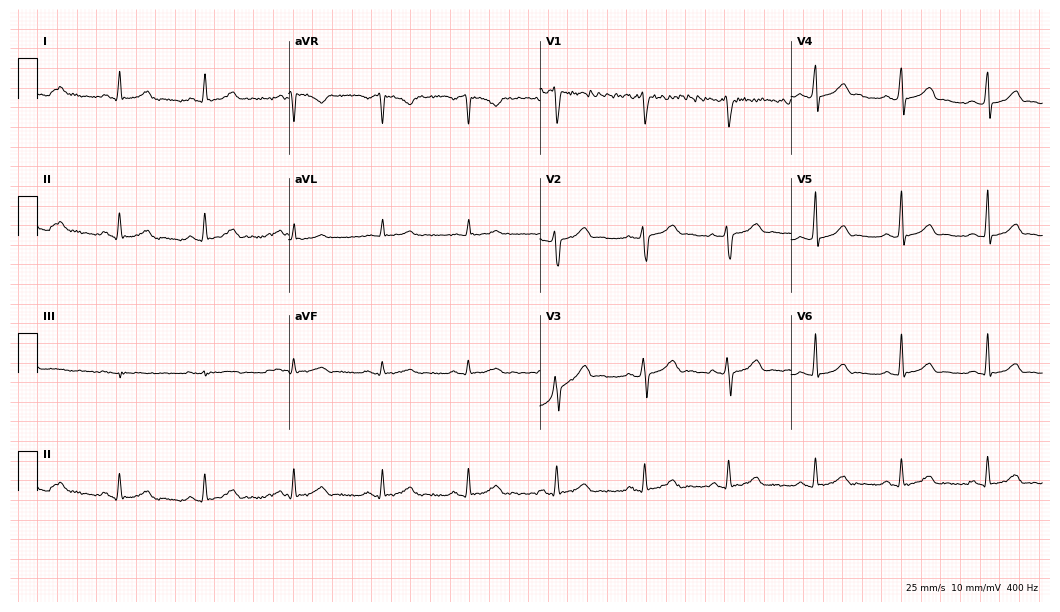
Standard 12-lead ECG recorded from a 29-year-old male patient (10.2-second recording at 400 Hz). None of these six findings is recorded: first-degree AV block, right bundle branch block, left bundle branch block, sinus bradycardia, atrial fibrillation, sinus tachycardia.